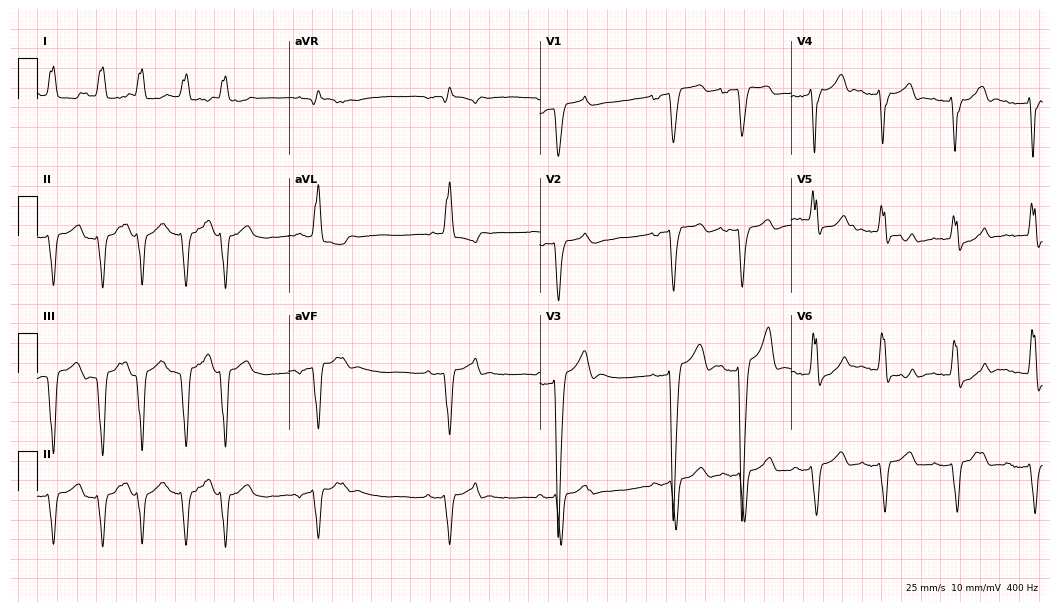
ECG — a woman, 70 years old. Screened for six findings — first-degree AV block, right bundle branch block, left bundle branch block, sinus bradycardia, atrial fibrillation, sinus tachycardia — none is recorded. Other findings, if any, are not listed.